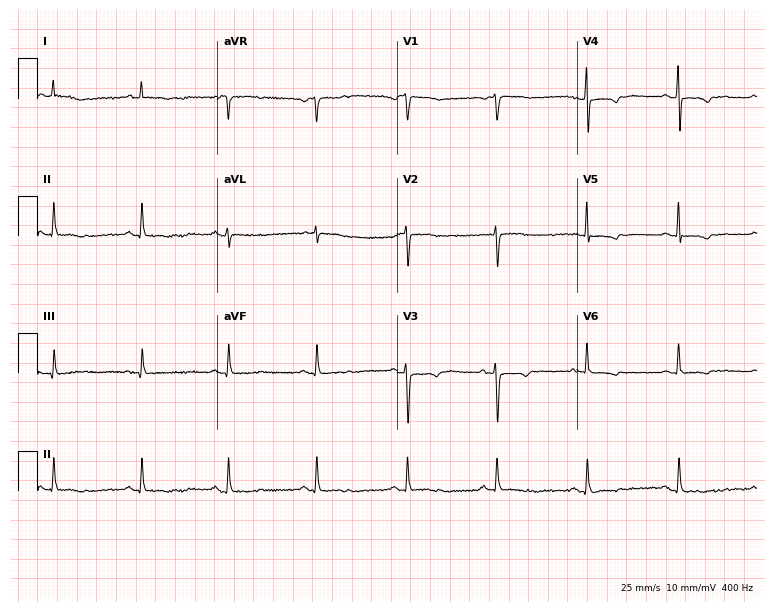
12-lead ECG from a female, 86 years old. No first-degree AV block, right bundle branch block, left bundle branch block, sinus bradycardia, atrial fibrillation or sinus tachycardia recorded for this tracing.